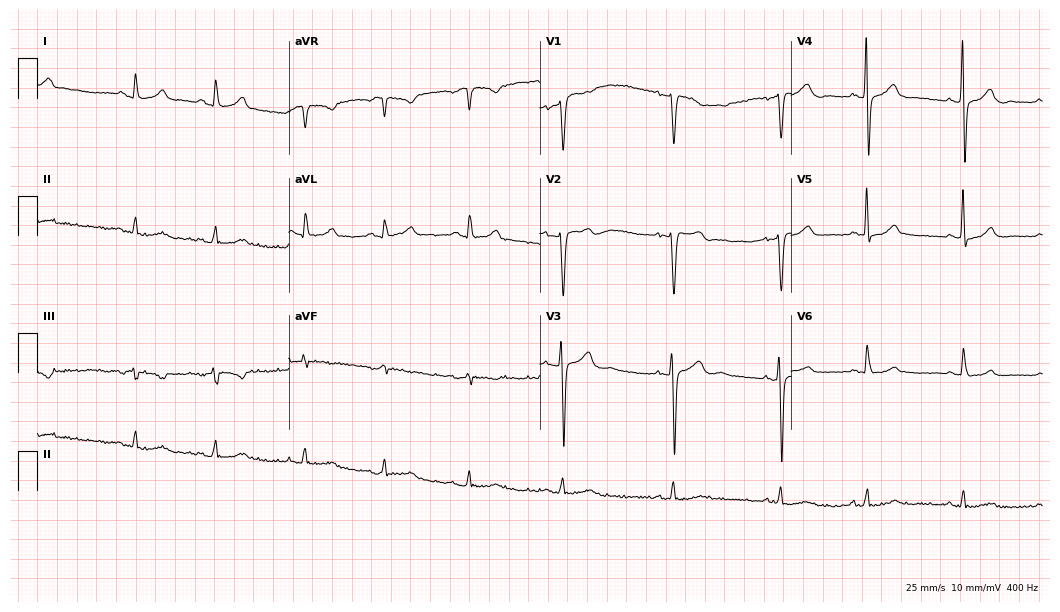
Standard 12-lead ECG recorded from a female patient, 40 years old. Read as a normal ECG.